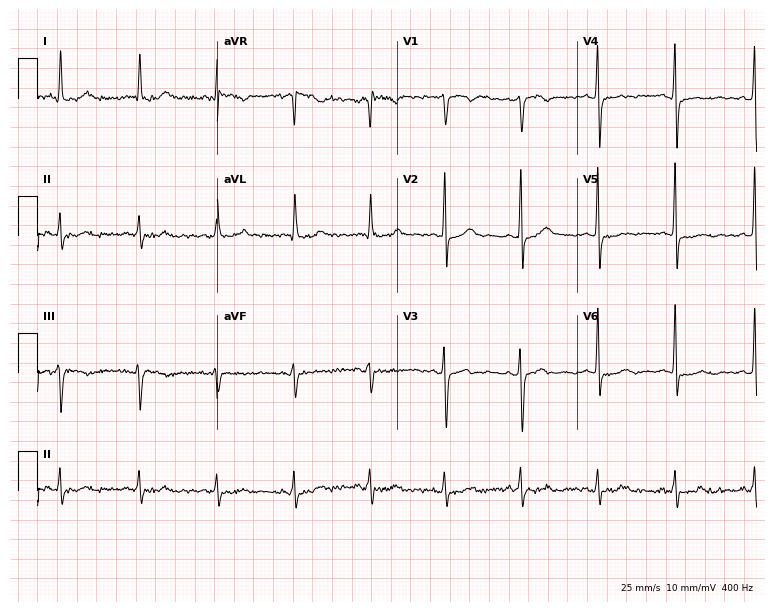
Standard 12-lead ECG recorded from a woman, 50 years old. None of these six findings is recorded: first-degree AV block, right bundle branch block, left bundle branch block, sinus bradycardia, atrial fibrillation, sinus tachycardia. Findings outside these six are not listed.